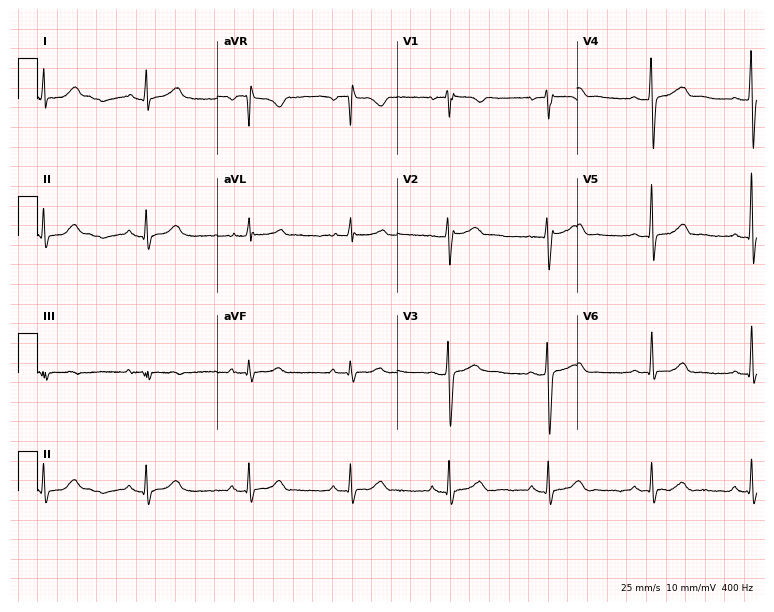
ECG — a female patient, 59 years old. Labelled as a normal ECG.